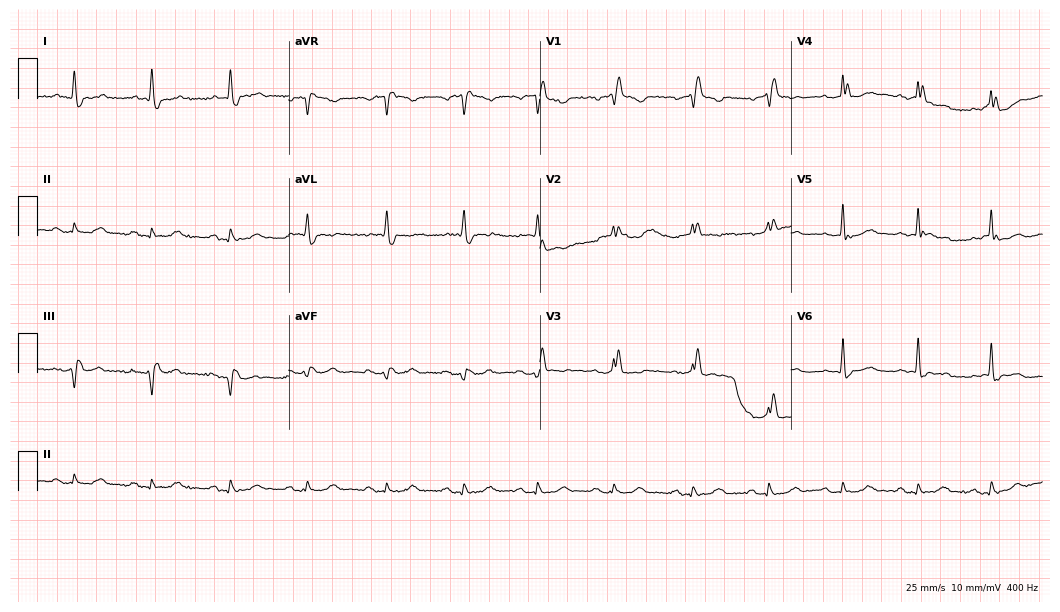
12-lead ECG from a 67-year-old male patient. Screened for six findings — first-degree AV block, right bundle branch block, left bundle branch block, sinus bradycardia, atrial fibrillation, sinus tachycardia — none is recorded.